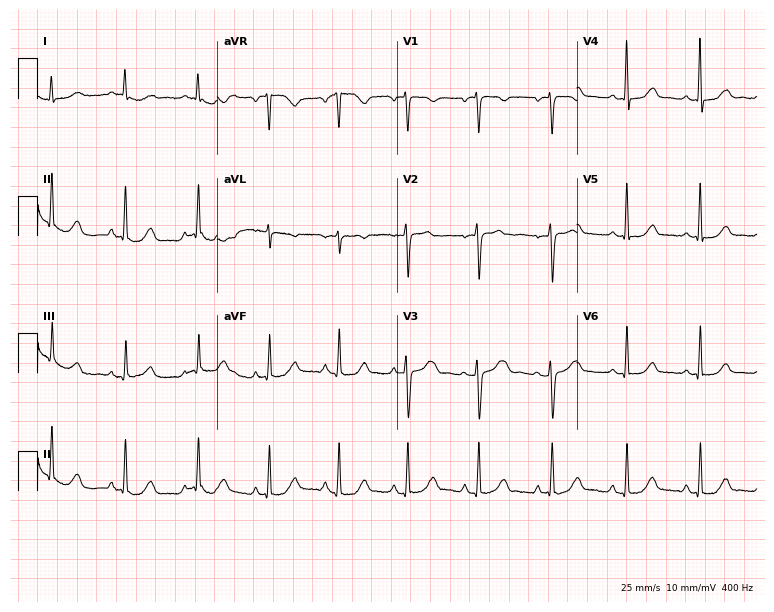
Standard 12-lead ECG recorded from a female, 45 years old. Read as a normal ECG.